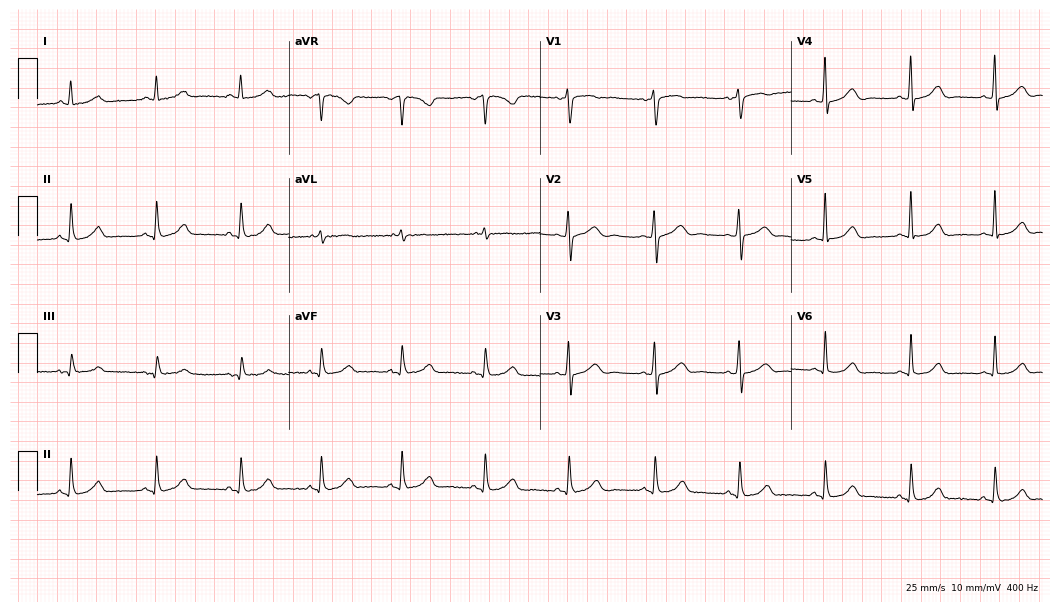
12-lead ECG from a 43-year-old female. Labelled as a normal ECG.